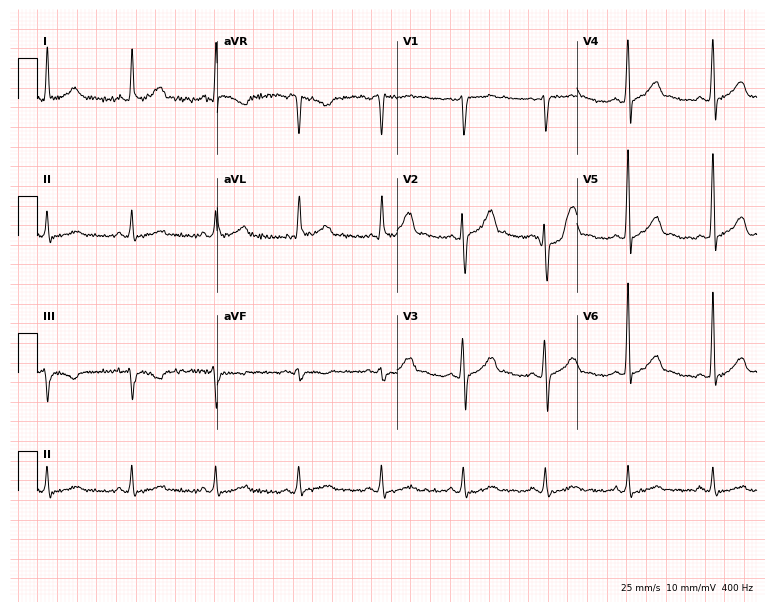
Resting 12-lead electrocardiogram. Patient: a 44-year-old male. None of these six findings is recorded: first-degree AV block, right bundle branch block (RBBB), left bundle branch block (LBBB), sinus bradycardia, atrial fibrillation (AF), sinus tachycardia.